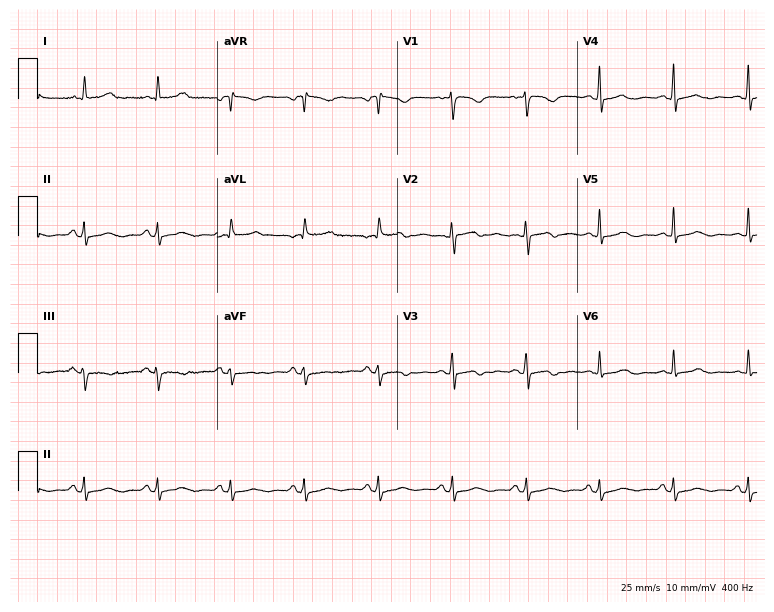
12-lead ECG from a female, 48 years old. No first-degree AV block, right bundle branch block (RBBB), left bundle branch block (LBBB), sinus bradycardia, atrial fibrillation (AF) or sinus tachycardia recorded for this tracing.